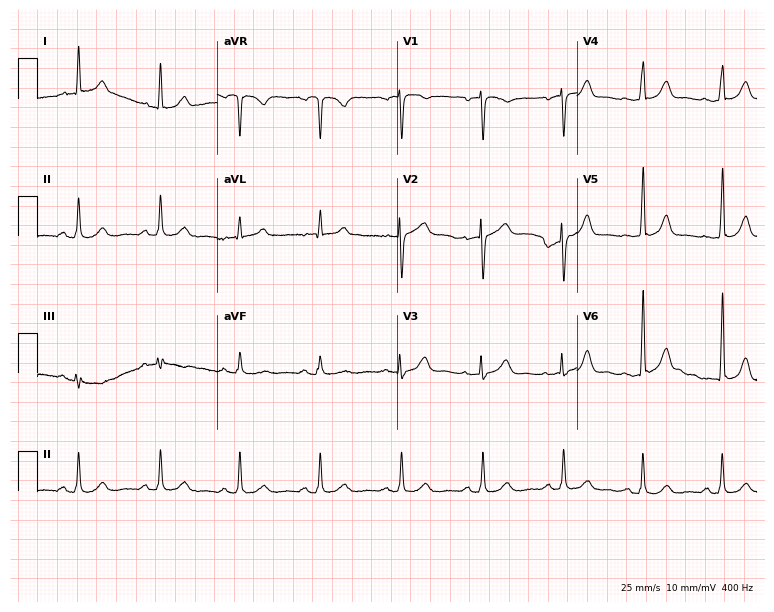
Standard 12-lead ECG recorded from a male, 56 years old. None of these six findings is recorded: first-degree AV block, right bundle branch block, left bundle branch block, sinus bradycardia, atrial fibrillation, sinus tachycardia. Only these six findings were labelled.